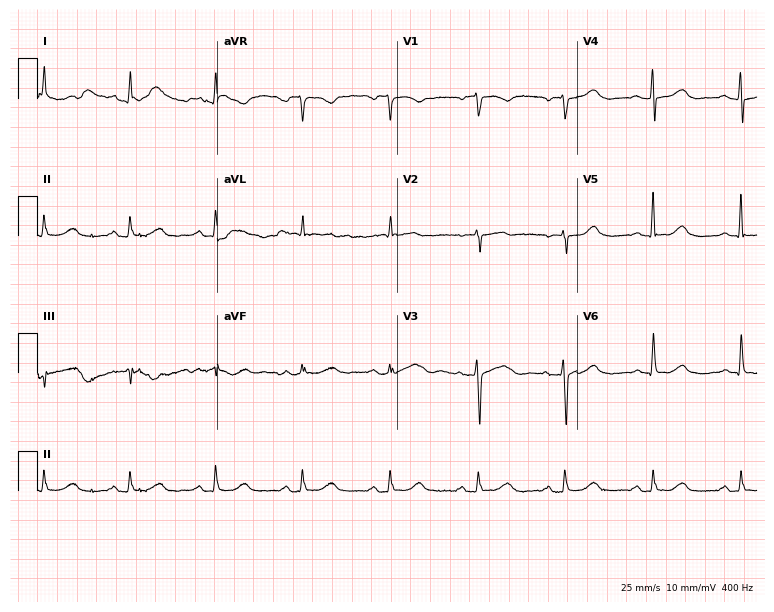
12-lead ECG from a woman, 85 years old. Recorded interpretation: within normal limits.